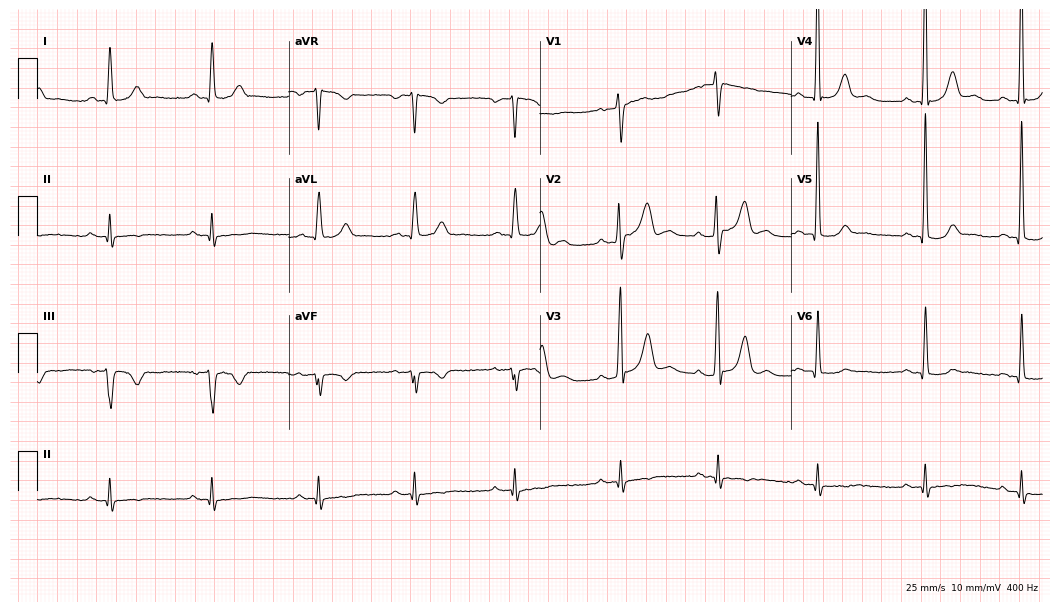
Resting 12-lead electrocardiogram. Patient: a 56-year-old male. None of these six findings is recorded: first-degree AV block, right bundle branch block, left bundle branch block, sinus bradycardia, atrial fibrillation, sinus tachycardia. Other findings, if any, are not listed.